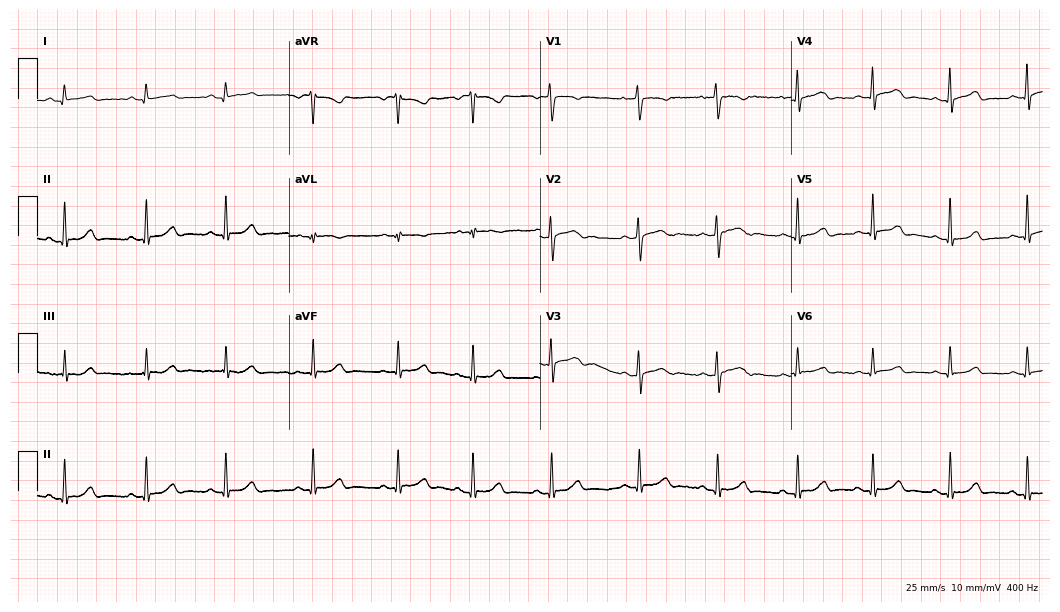
Electrocardiogram, a 19-year-old female patient. Overall reading on record: normal ECG.